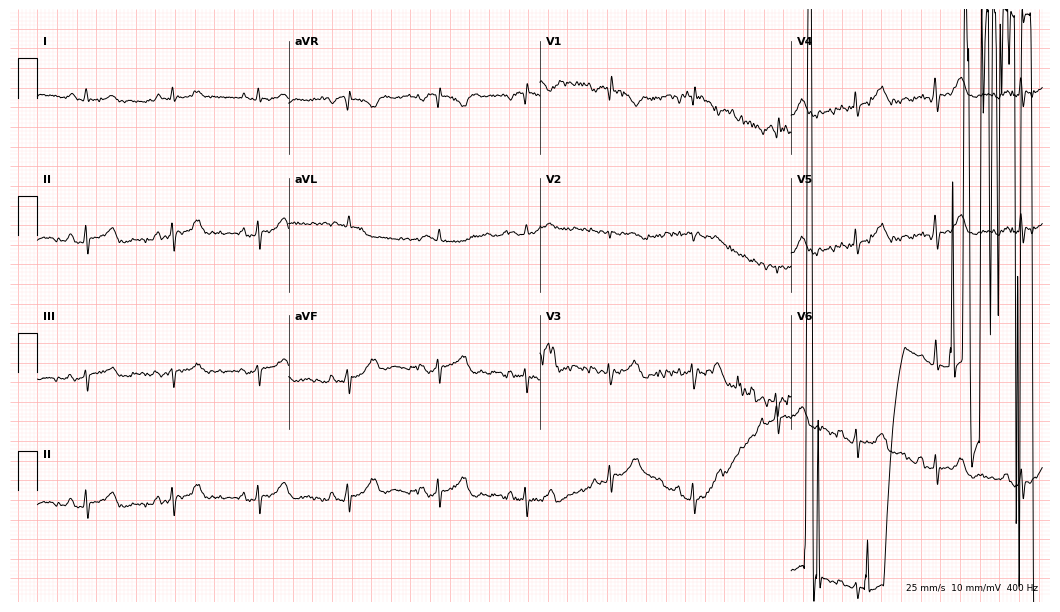
Resting 12-lead electrocardiogram. Patient: a man, 62 years old. None of these six findings is recorded: first-degree AV block, right bundle branch block (RBBB), left bundle branch block (LBBB), sinus bradycardia, atrial fibrillation (AF), sinus tachycardia.